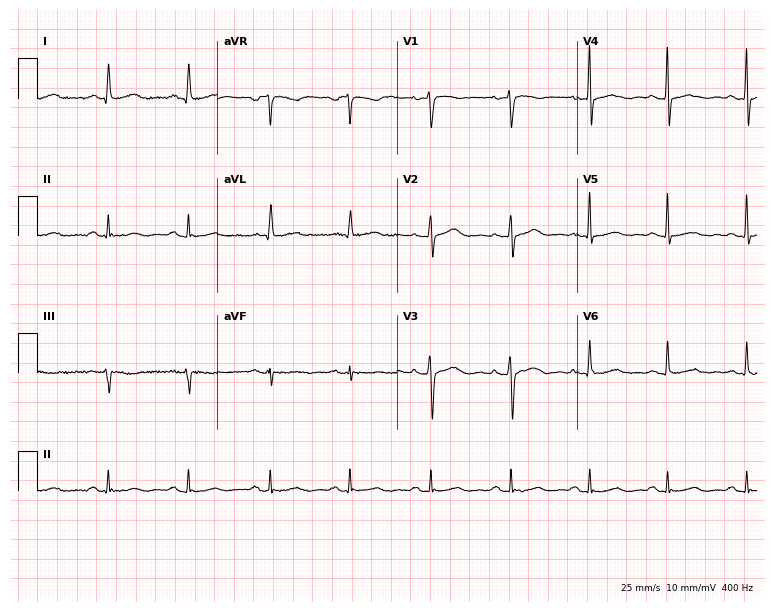
Electrocardiogram (7.3-second recording at 400 Hz), a 52-year-old woman. Of the six screened findings (first-degree AV block, right bundle branch block (RBBB), left bundle branch block (LBBB), sinus bradycardia, atrial fibrillation (AF), sinus tachycardia), none is recorded. Other findings, if any, are not listed.